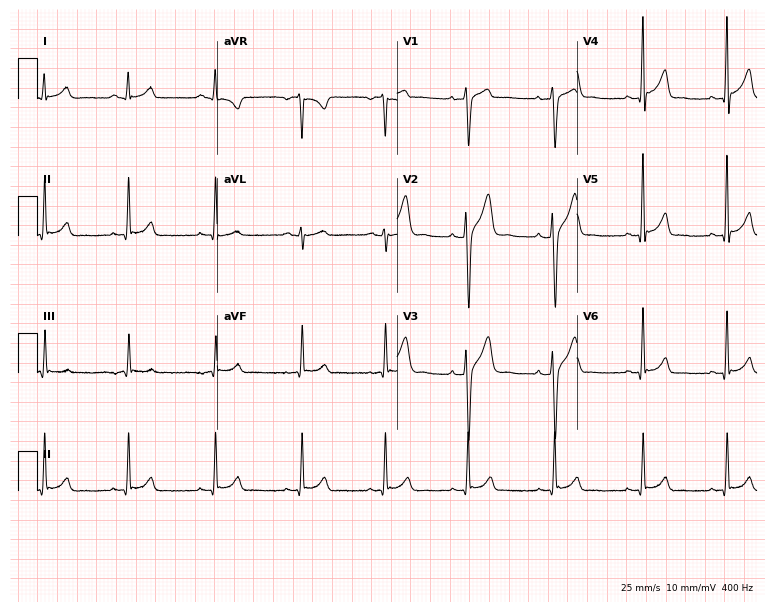
12-lead ECG (7.3-second recording at 400 Hz) from a 22-year-old male. Screened for six findings — first-degree AV block, right bundle branch block, left bundle branch block, sinus bradycardia, atrial fibrillation, sinus tachycardia — none is recorded. Only these six findings were labelled.